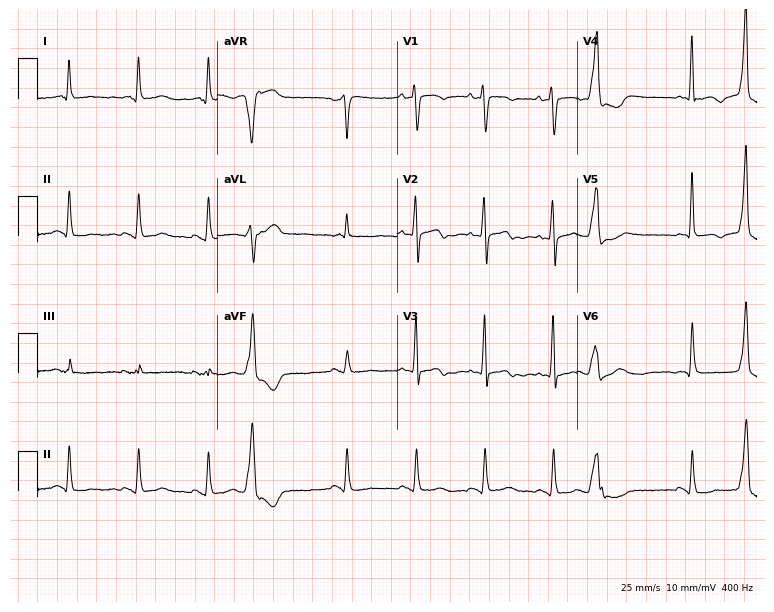
Resting 12-lead electrocardiogram (7.3-second recording at 400 Hz). Patient: a female, 76 years old. Read as a normal ECG.